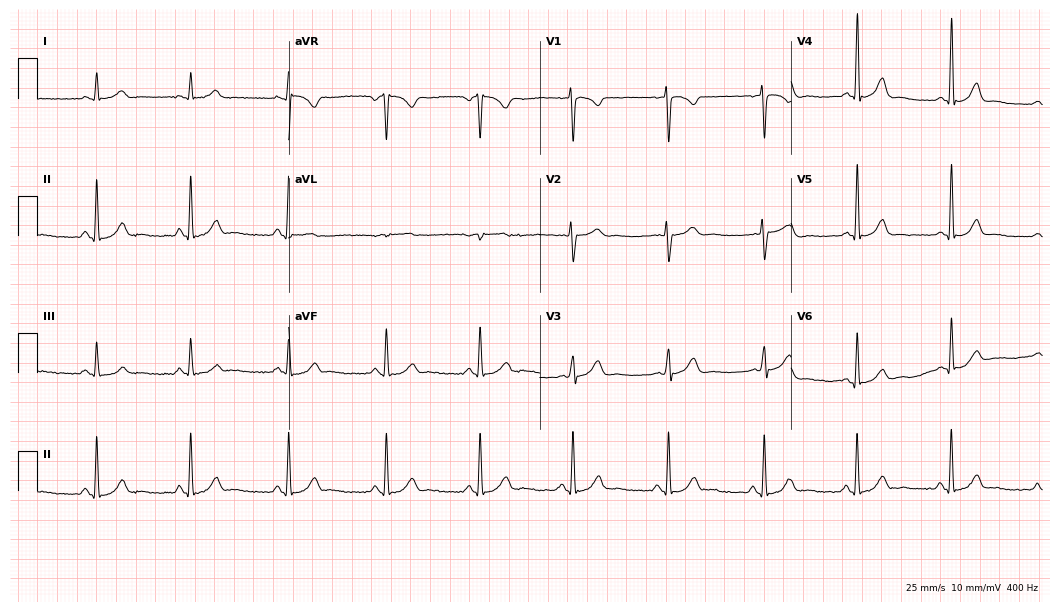
ECG (10.2-second recording at 400 Hz) — a female patient, 38 years old. Screened for six findings — first-degree AV block, right bundle branch block, left bundle branch block, sinus bradycardia, atrial fibrillation, sinus tachycardia — none is recorded.